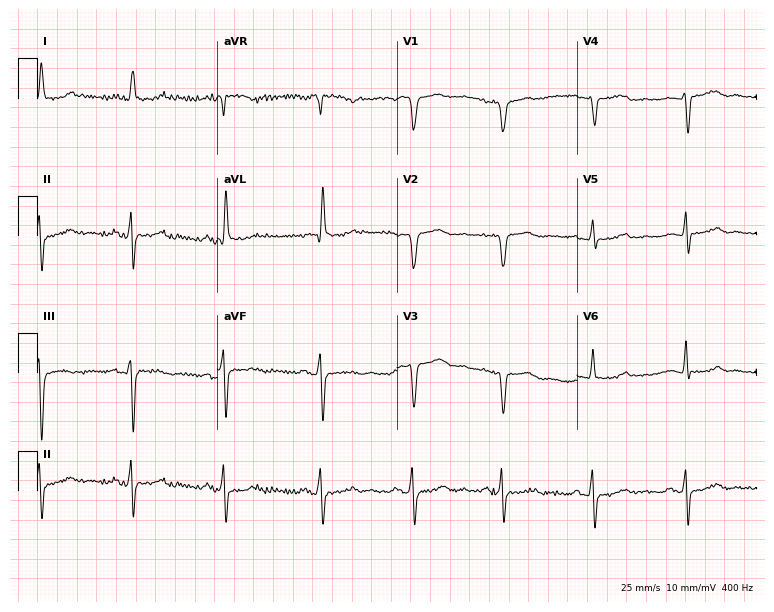
12-lead ECG from a 65-year-old female (7.3-second recording at 400 Hz). No first-degree AV block, right bundle branch block, left bundle branch block, sinus bradycardia, atrial fibrillation or sinus tachycardia recorded for this tracing.